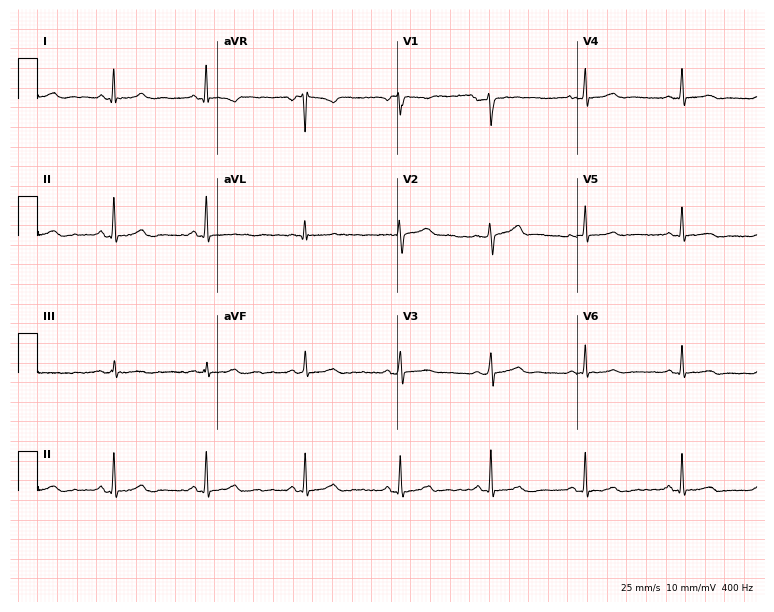
ECG — a woman, 36 years old. Screened for six findings — first-degree AV block, right bundle branch block (RBBB), left bundle branch block (LBBB), sinus bradycardia, atrial fibrillation (AF), sinus tachycardia — none is recorded. Findings outside these six are not listed.